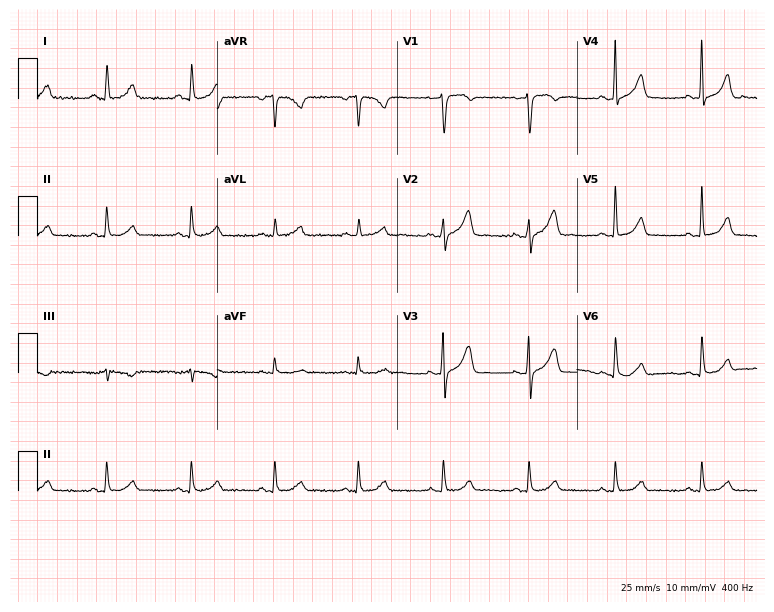
Standard 12-lead ECG recorded from a 53-year-old female patient (7.3-second recording at 400 Hz). Read as a normal ECG.